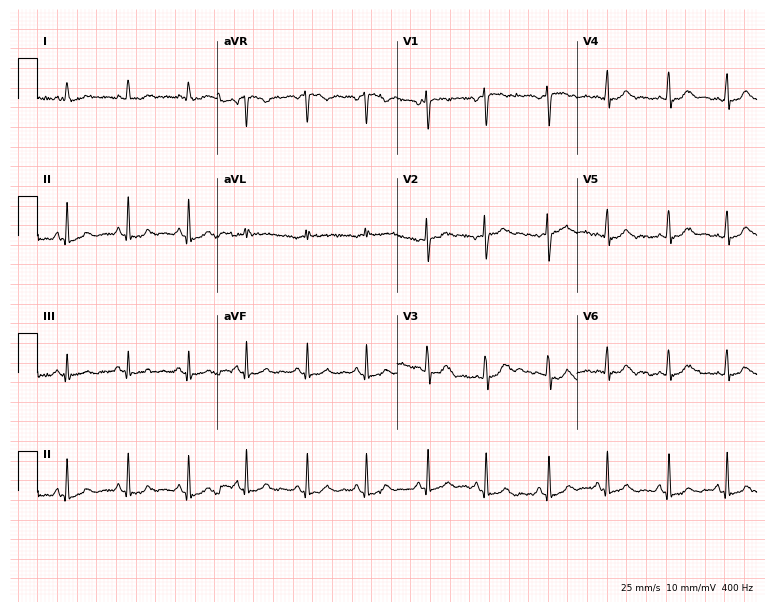
Resting 12-lead electrocardiogram. Patient: a female, 21 years old. Read as a normal ECG.